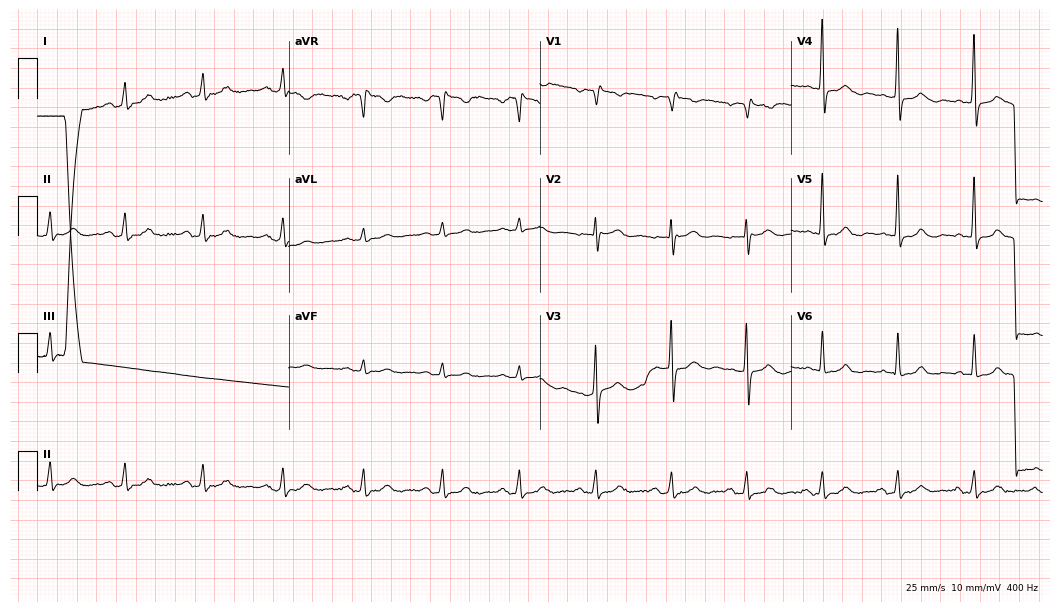
ECG — a female patient, 59 years old. Screened for six findings — first-degree AV block, right bundle branch block, left bundle branch block, sinus bradycardia, atrial fibrillation, sinus tachycardia — none is recorded. Other findings, if any, are not listed.